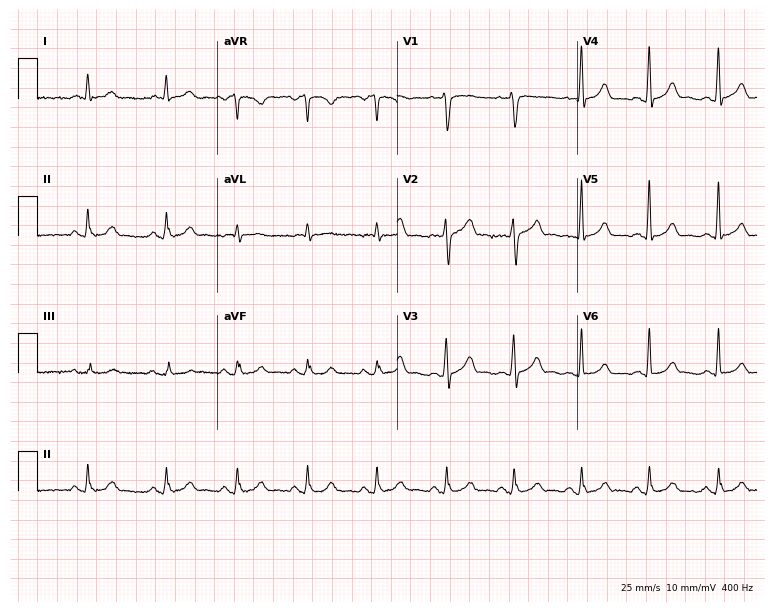
12-lead ECG from a male patient, 42 years old. Labelled as a normal ECG.